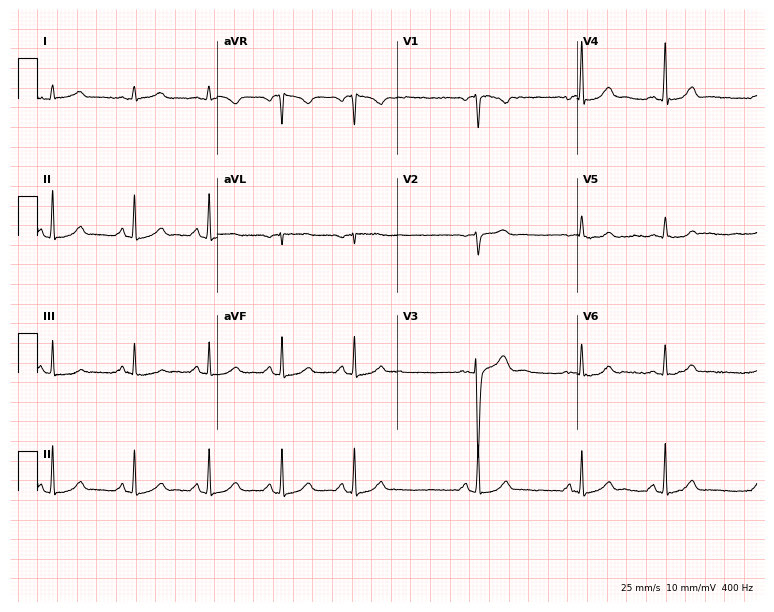
Standard 12-lead ECG recorded from a 25-year-old woman (7.3-second recording at 400 Hz). Read as a normal ECG.